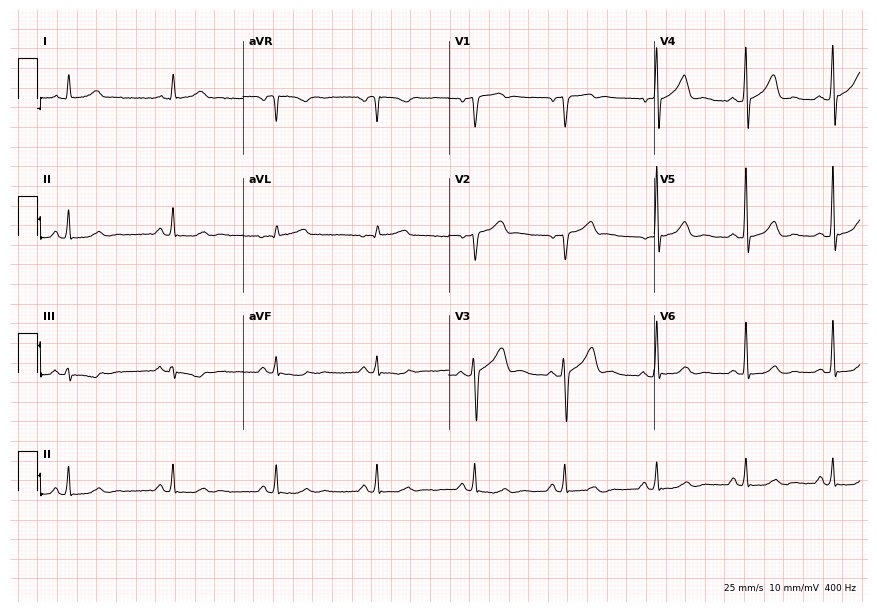
Electrocardiogram (8.4-second recording at 400 Hz), a 41-year-old man. Overall reading on record: normal ECG.